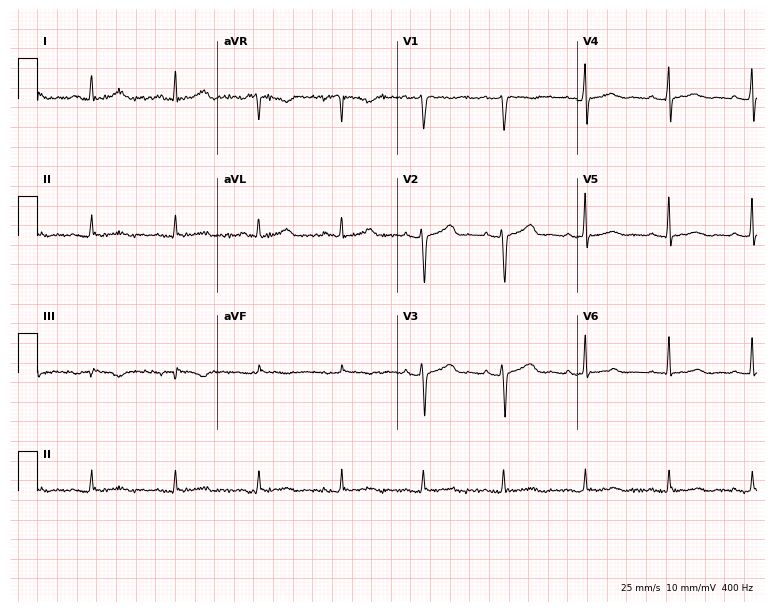
ECG — a female patient, 48 years old. Screened for six findings — first-degree AV block, right bundle branch block, left bundle branch block, sinus bradycardia, atrial fibrillation, sinus tachycardia — none is recorded. Only these six findings were labelled.